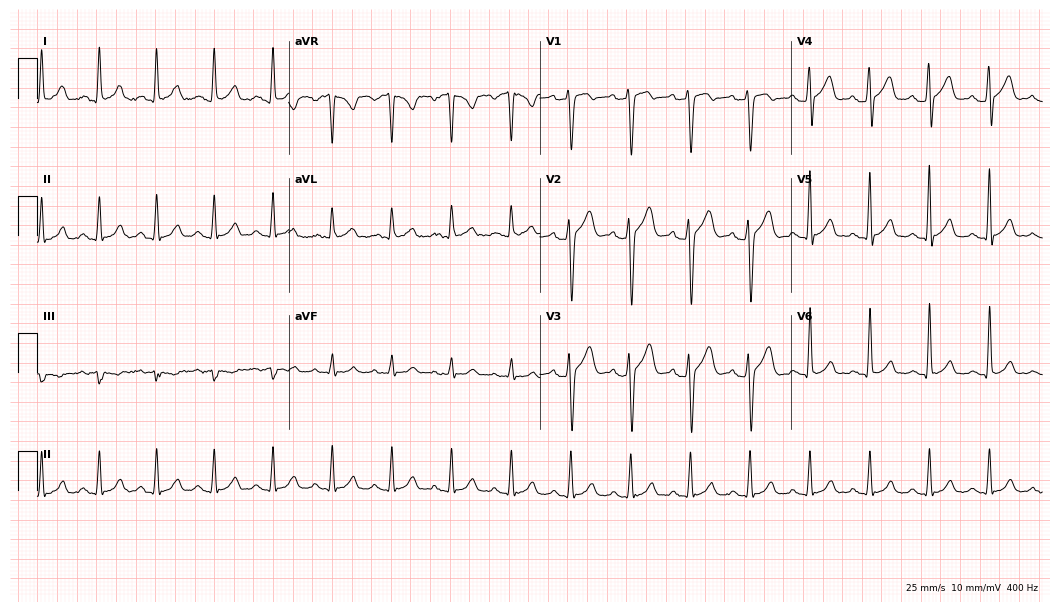
12-lead ECG from a man, 32 years old. Recorded interpretation: within normal limits.